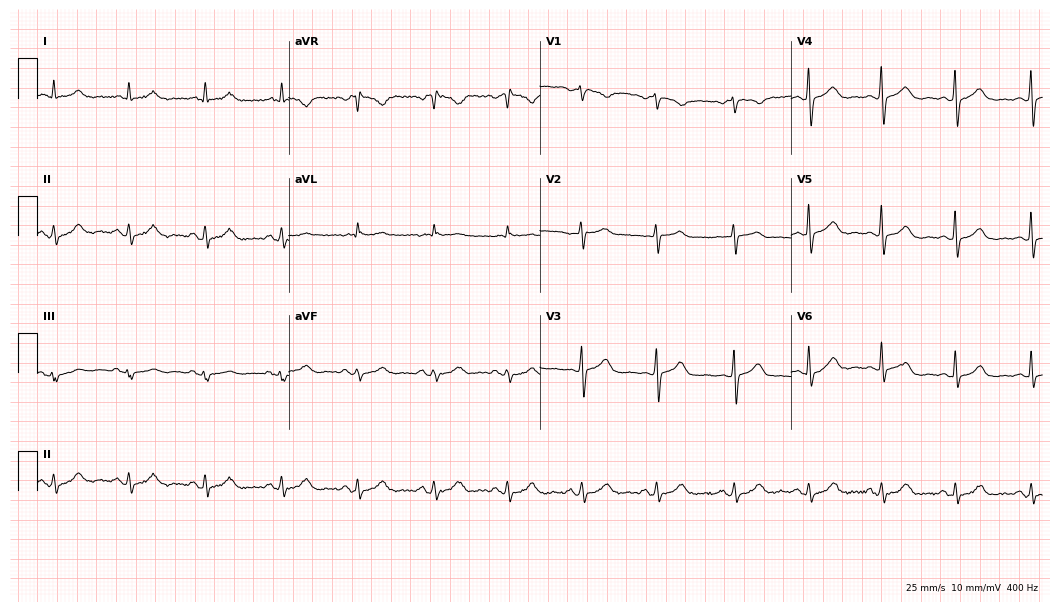
Standard 12-lead ECG recorded from a female, 56 years old. Read as a normal ECG.